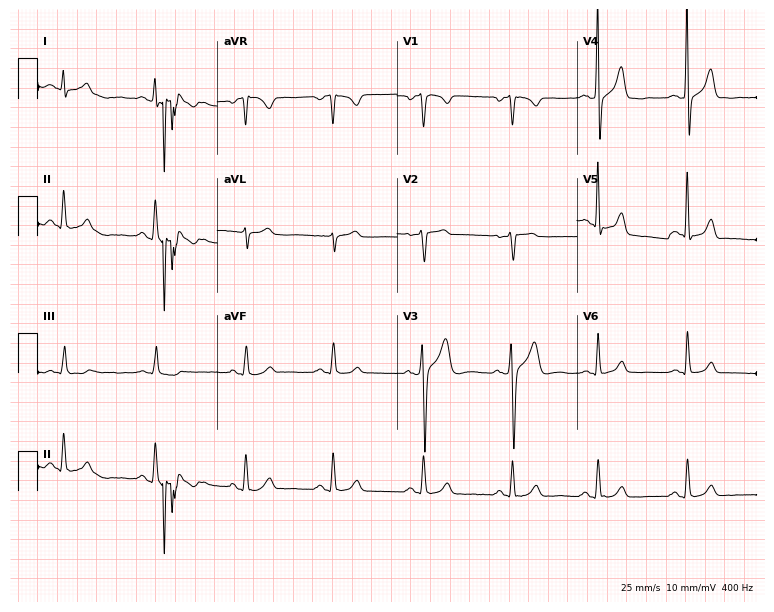
ECG (7.3-second recording at 400 Hz) — a 39-year-old male. Screened for six findings — first-degree AV block, right bundle branch block, left bundle branch block, sinus bradycardia, atrial fibrillation, sinus tachycardia — none is recorded. Findings outside these six are not listed.